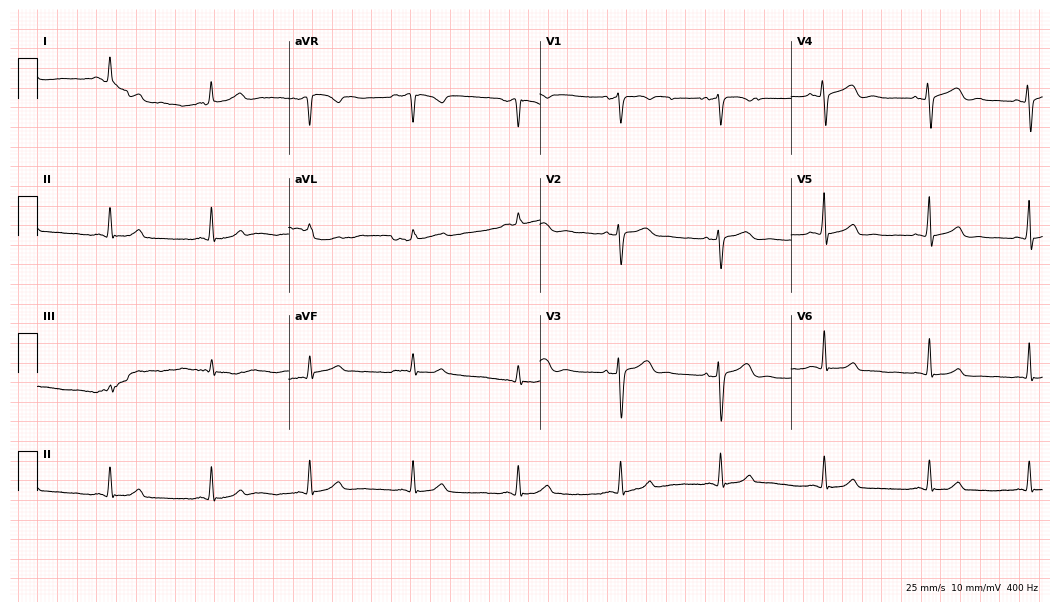
Electrocardiogram, a female, 54 years old. Overall reading on record: normal ECG.